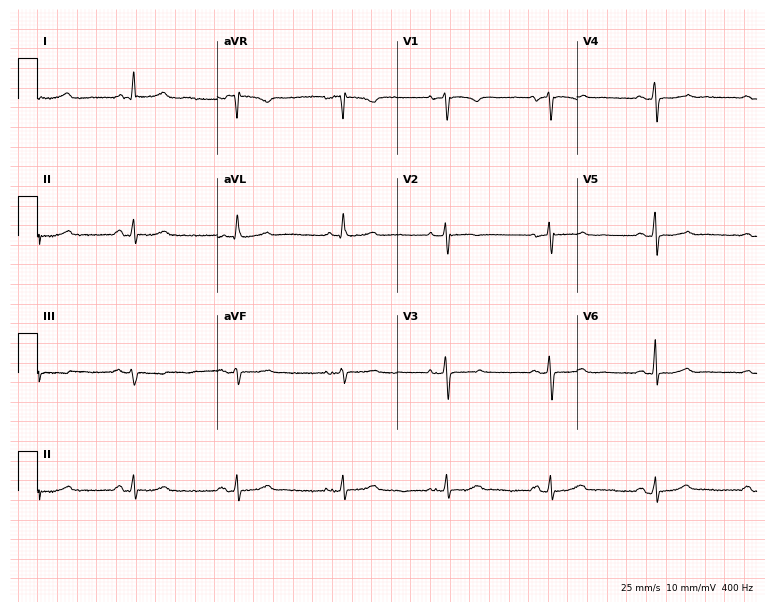
Electrocardiogram, a 71-year-old woman. Of the six screened findings (first-degree AV block, right bundle branch block, left bundle branch block, sinus bradycardia, atrial fibrillation, sinus tachycardia), none is recorded. Other findings, if any, are not listed.